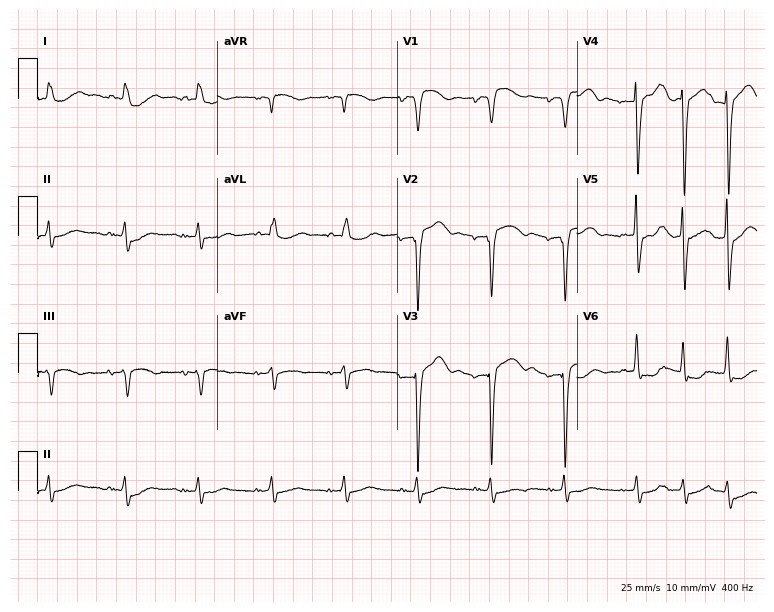
Electrocardiogram (7.3-second recording at 400 Hz), an 85-year-old woman. Of the six screened findings (first-degree AV block, right bundle branch block (RBBB), left bundle branch block (LBBB), sinus bradycardia, atrial fibrillation (AF), sinus tachycardia), none is recorded.